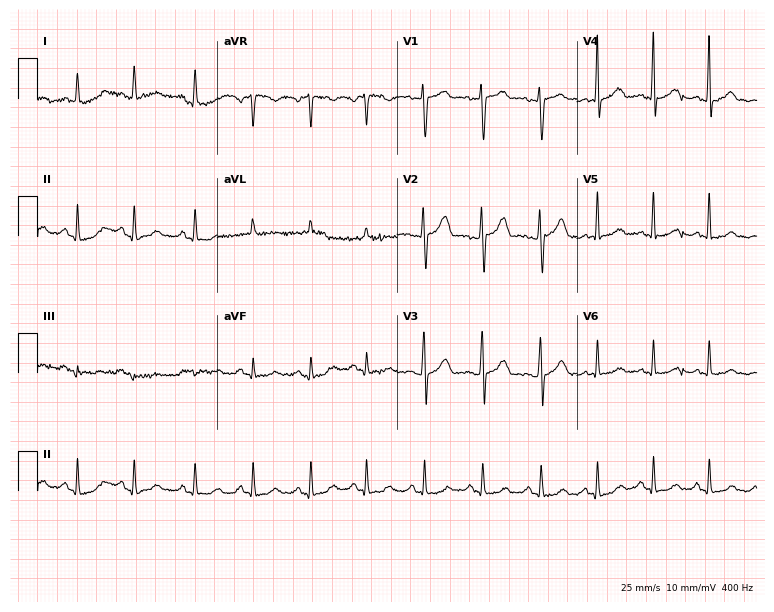
ECG (7.3-second recording at 400 Hz) — a woman, 40 years old. Labelled as a normal ECG.